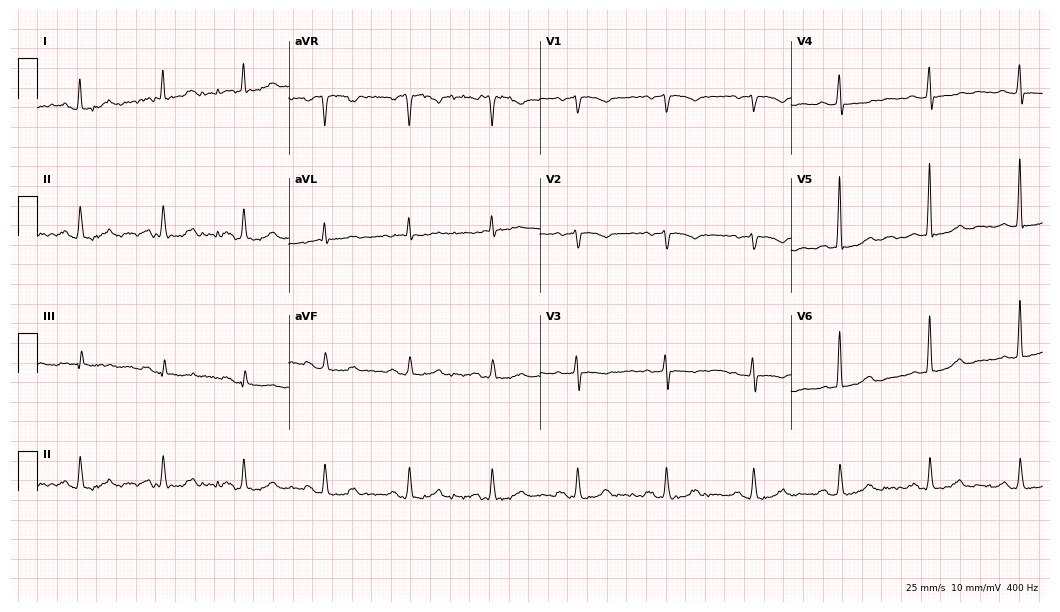
Standard 12-lead ECG recorded from a 74-year-old female. None of these six findings is recorded: first-degree AV block, right bundle branch block, left bundle branch block, sinus bradycardia, atrial fibrillation, sinus tachycardia. Findings outside these six are not listed.